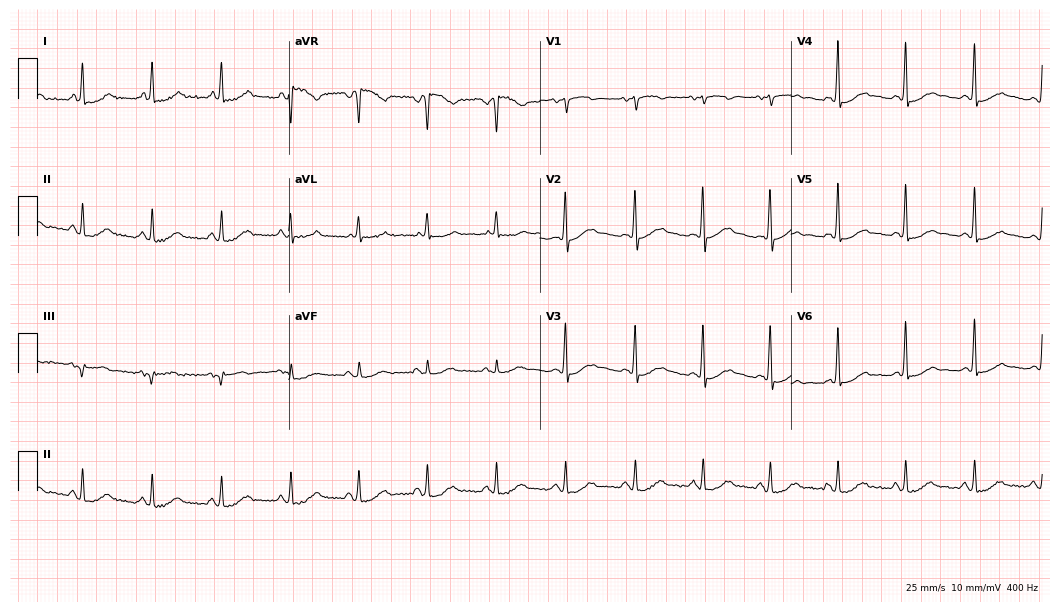
ECG — a woman, 63 years old. Labelled as a normal ECG.